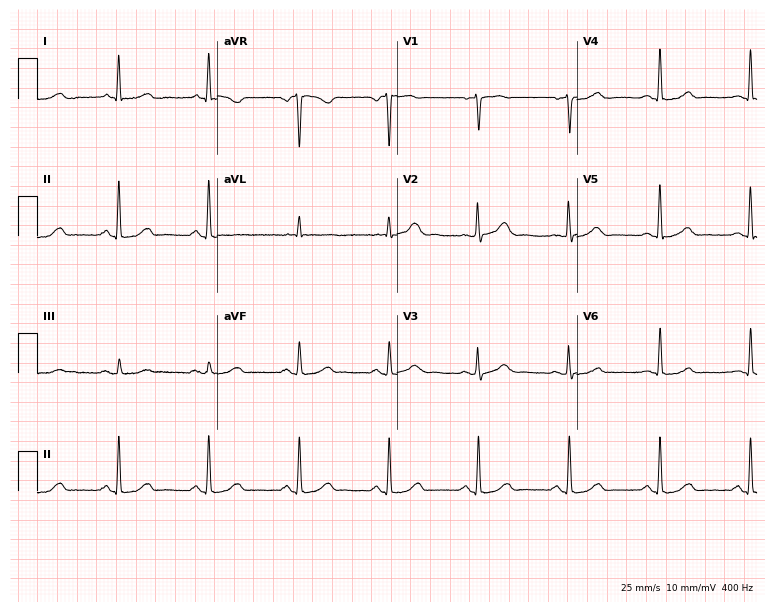
ECG — a 70-year-old woman. Screened for six findings — first-degree AV block, right bundle branch block (RBBB), left bundle branch block (LBBB), sinus bradycardia, atrial fibrillation (AF), sinus tachycardia — none is recorded. Other findings, if any, are not listed.